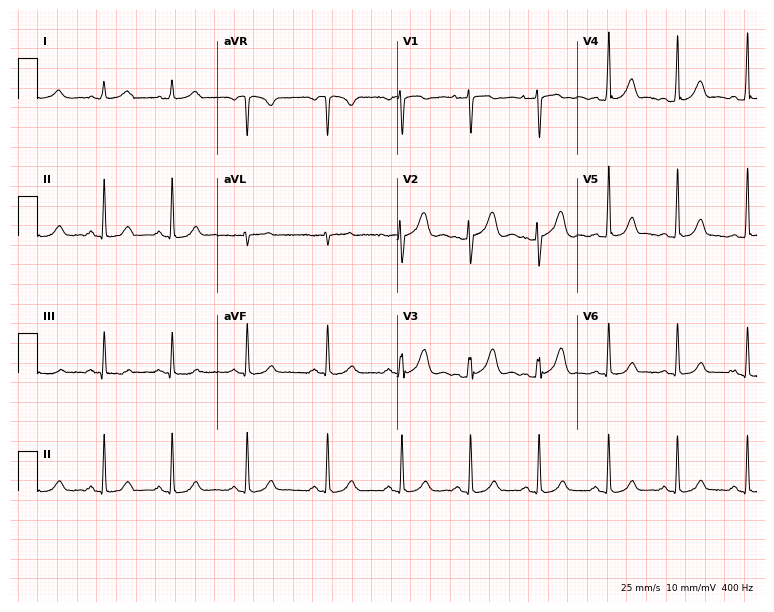
12-lead ECG from a woman, 24 years old. Labelled as a normal ECG.